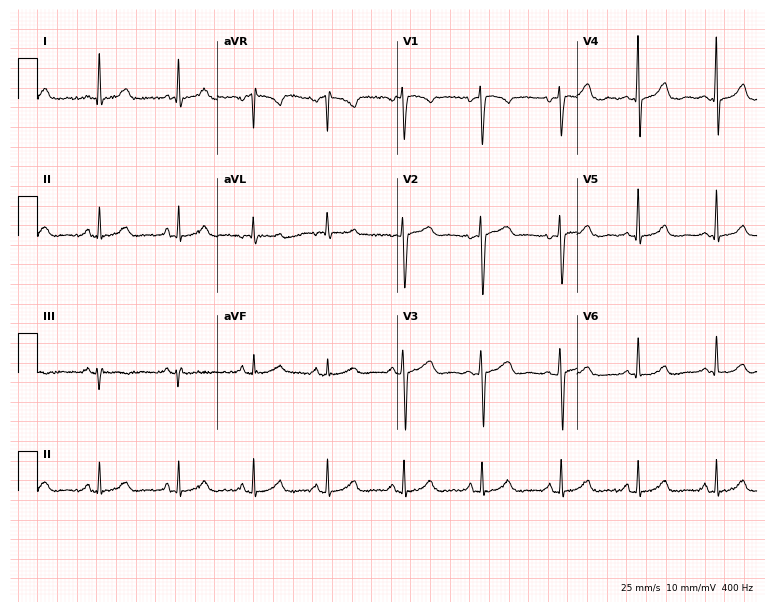
12-lead ECG from a female, 59 years old. Labelled as a normal ECG.